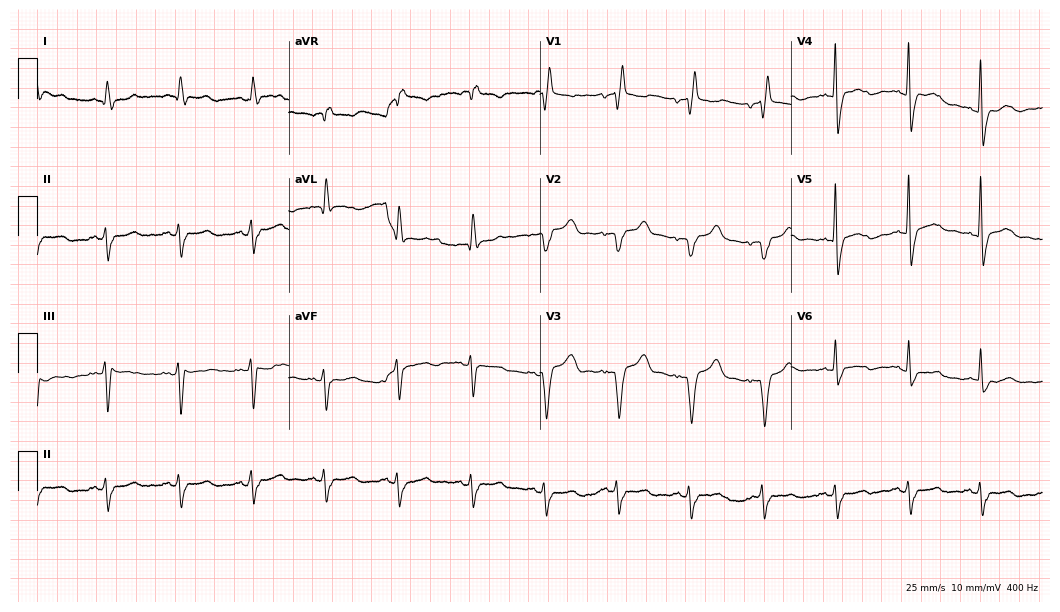
ECG (10.2-second recording at 400 Hz) — a 72-year-old male patient. Findings include right bundle branch block.